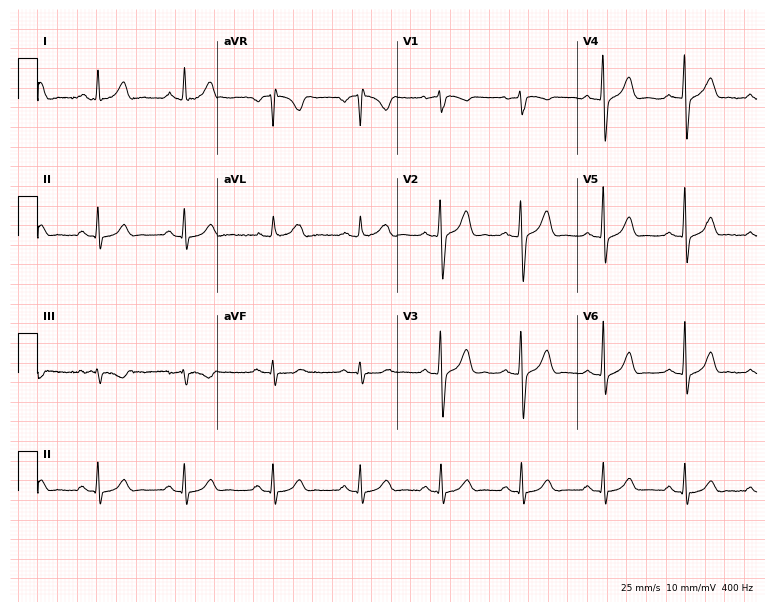
Standard 12-lead ECG recorded from a 31-year-old man (7.3-second recording at 400 Hz). Read as a normal ECG.